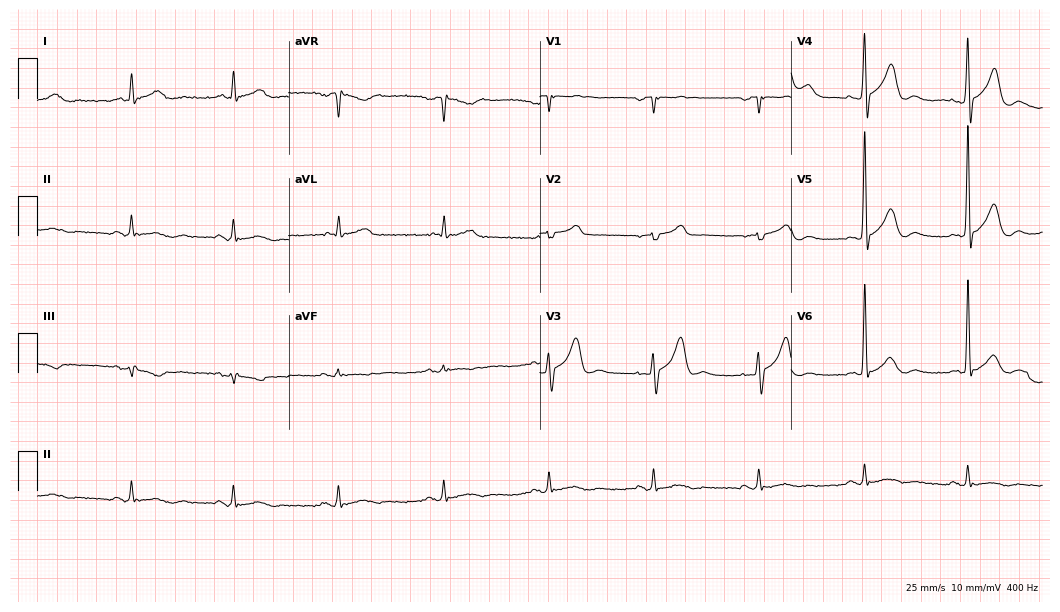
Standard 12-lead ECG recorded from a male, 78 years old. Read as a normal ECG.